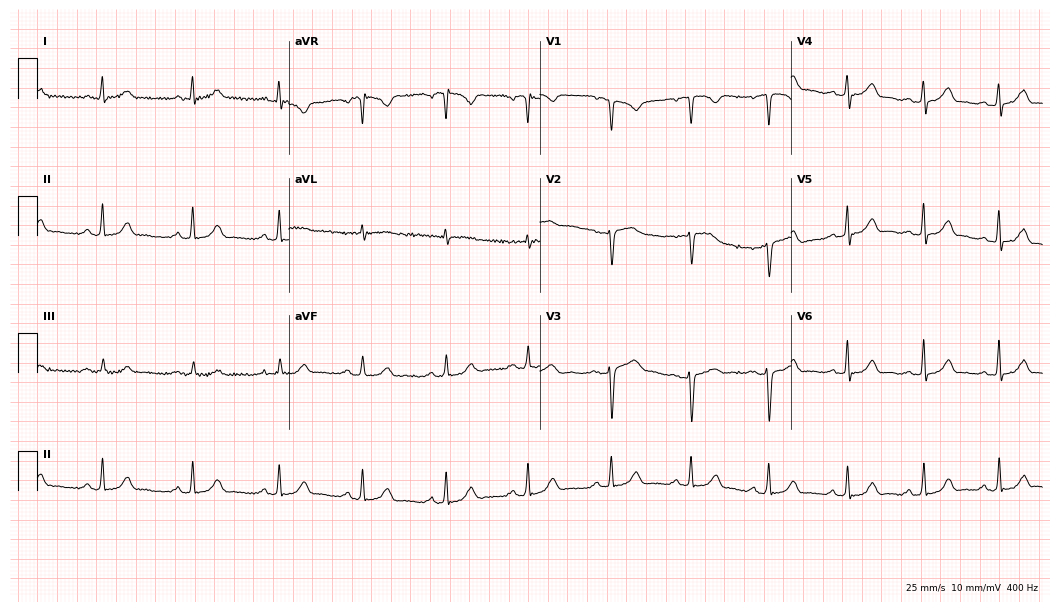
12-lead ECG from a female, 30 years old. Screened for six findings — first-degree AV block, right bundle branch block, left bundle branch block, sinus bradycardia, atrial fibrillation, sinus tachycardia — none is recorded.